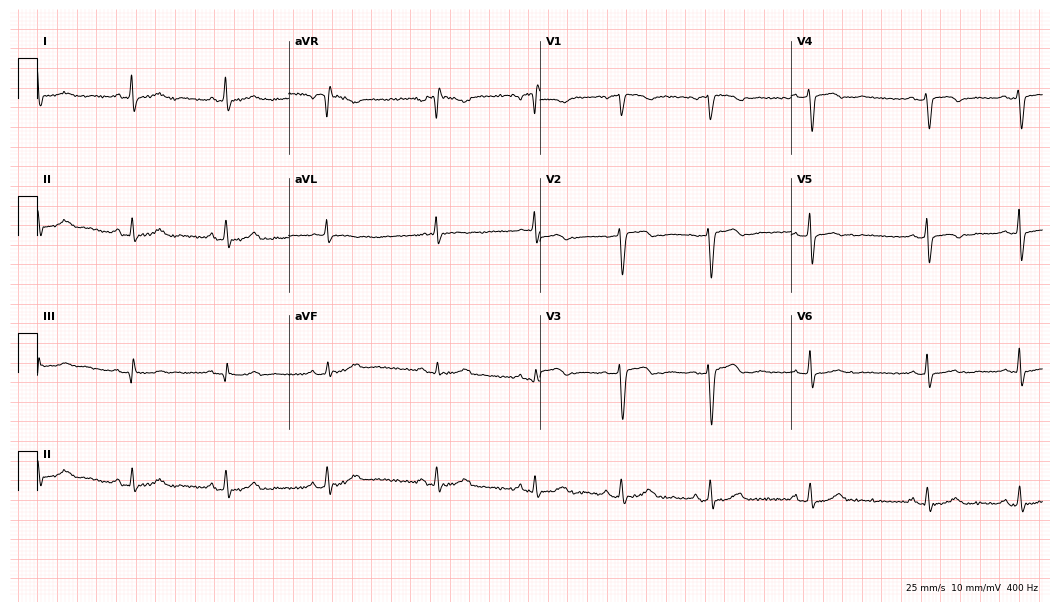
ECG — a woman, 37 years old. Labelled as a normal ECG.